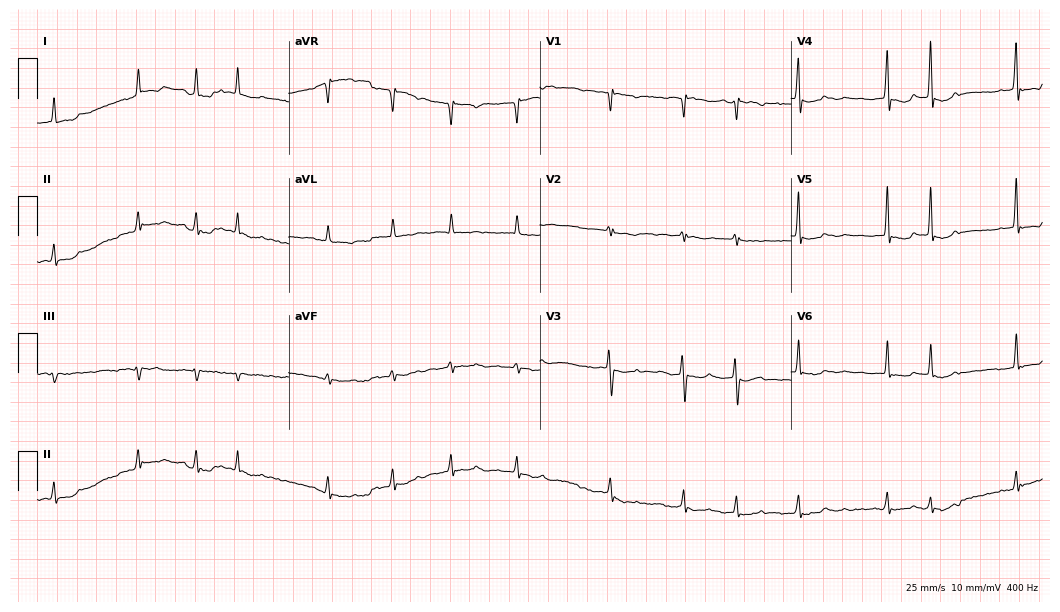
12-lead ECG from a 77-year-old female. Findings include atrial fibrillation.